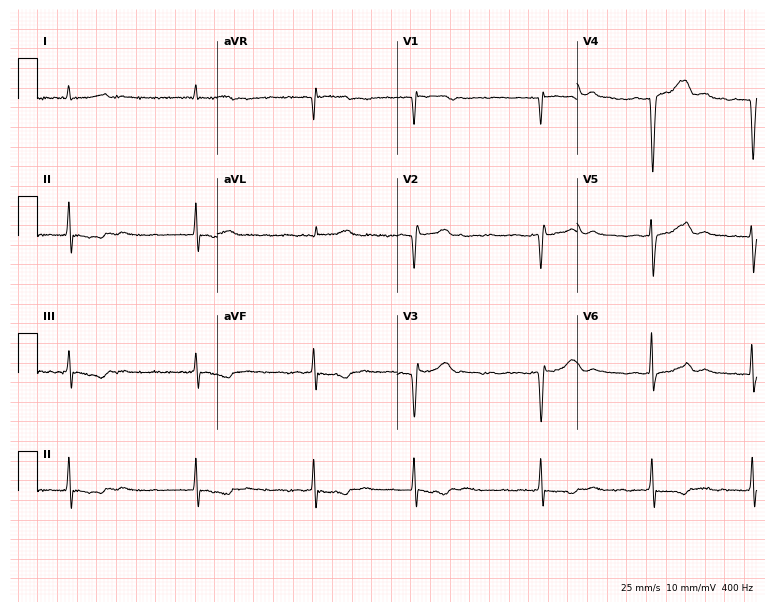
Standard 12-lead ECG recorded from a male, 80 years old. The tracing shows atrial fibrillation (AF).